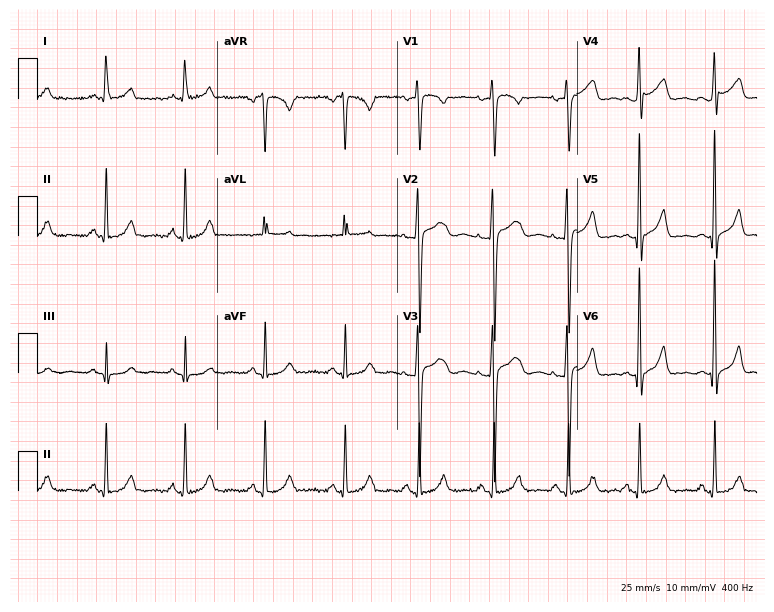
Electrocardiogram, a 27-year-old female. Of the six screened findings (first-degree AV block, right bundle branch block, left bundle branch block, sinus bradycardia, atrial fibrillation, sinus tachycardia), none is recorded. Findings outside these six are not listed.